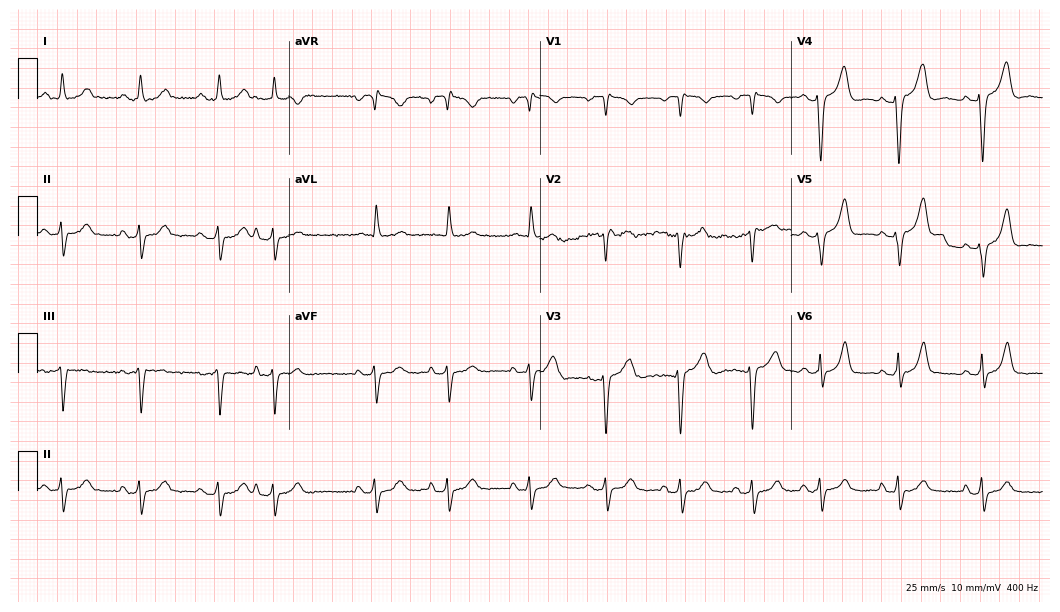
Resting 12-lead electrocardiogram (10.2-second recording at 400 Hz). Patient: a female, 85 years old. None of these six findings is recorded: first-degree AV block, right bundle branch block, left bundle branch block, sinus bradycardia, atrial fibrillation, sinus tachycardia.